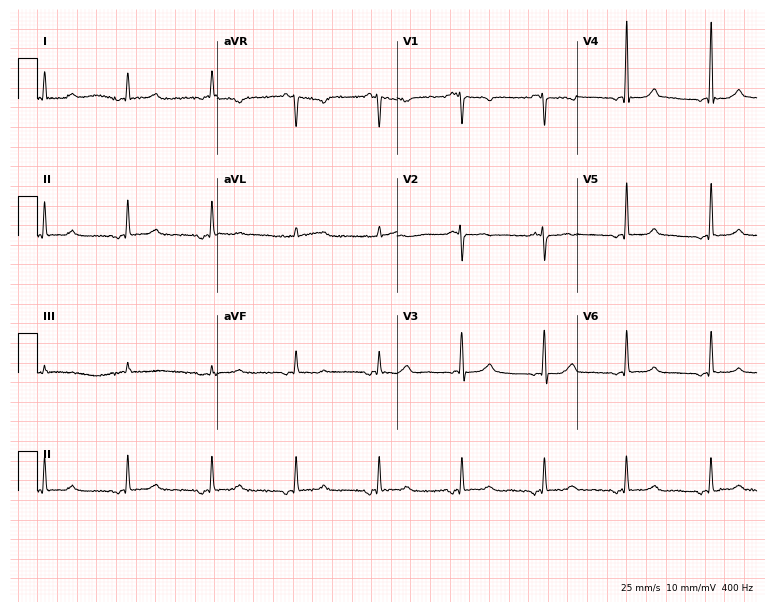
12-lead ECG from a woman, 74 years old (7.3-second recording at 400 Hz). No first-degree AV block, right bundle branch block, left bundle branch block, sinus bradycardia, atrial fibrillation or sinus tachycardia recorded for this tracing. Other findings, if any, are not listed.